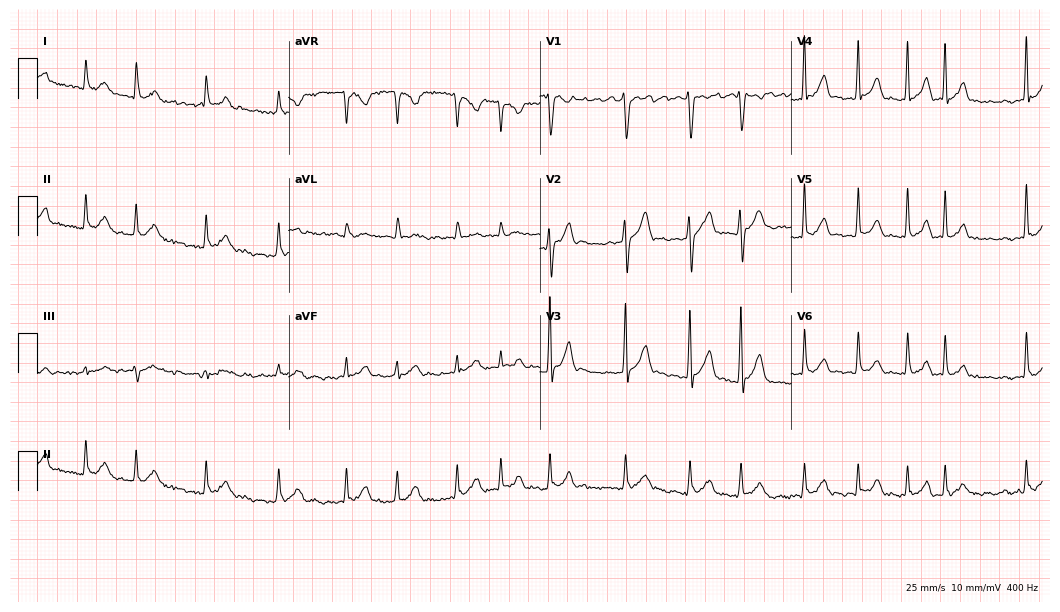
Resting 12-lead electrocardiogram (10.2-second recording at 400 Hz). Patient: a man, 45 years old. The tracing shows atrial fibrillation.